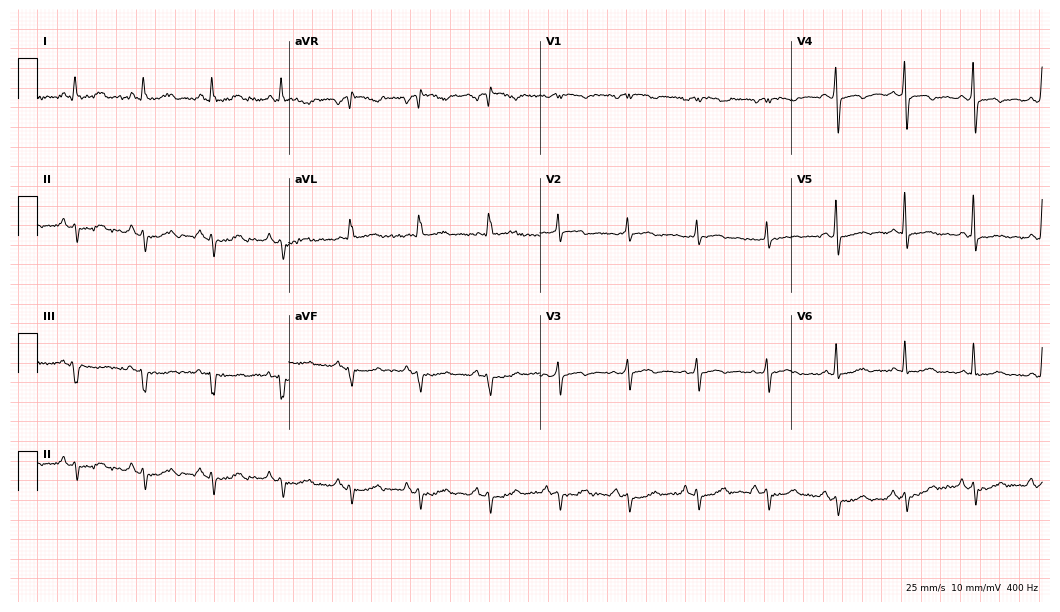
ECG (10.2-second recording at 400 Hz) — a woman, 78 years old. Screened for six findings — first-degree AV block, right bundle branch block (RBBB), left bundle branch block (LBBB), sinus bradycardia, atrial fibrillation (AF), sinus tachycardia — none is recorded.